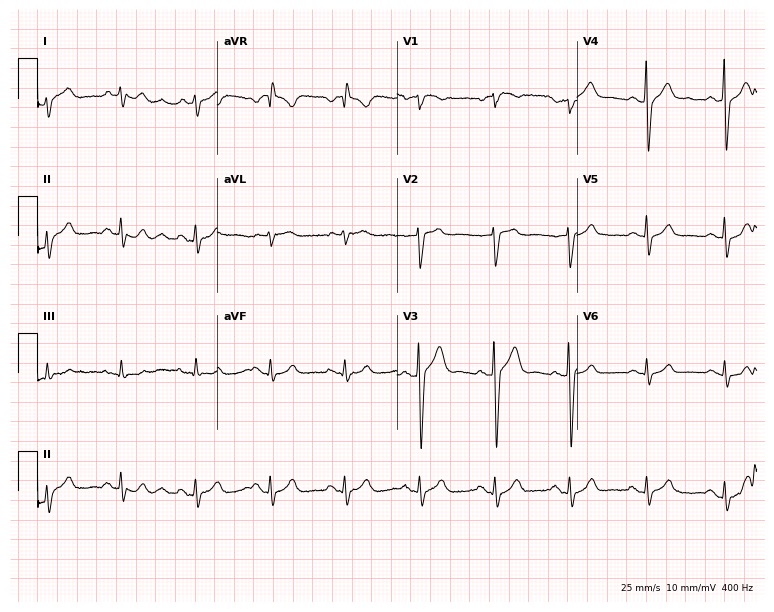
12-lead ECG from a male patient, 58 years old. Recorded interpretation: within normal limits.